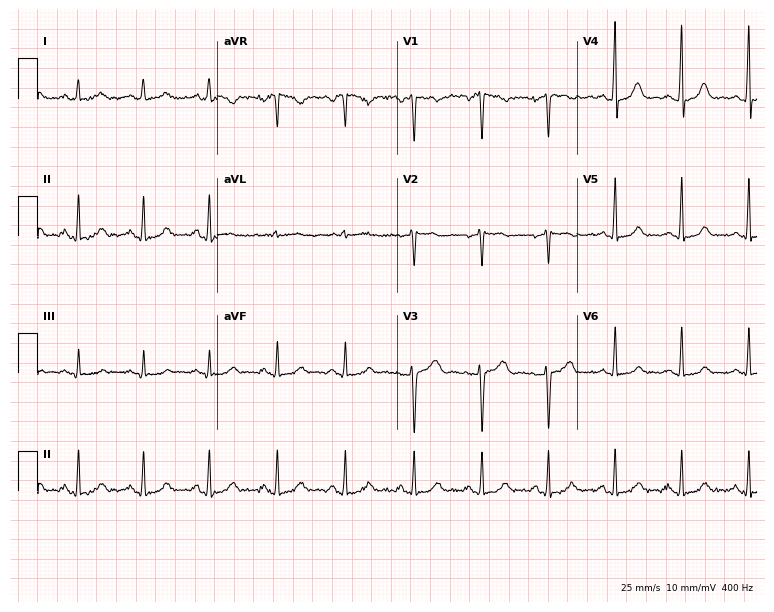
12-lead ECG from a 41-year-old female patient. No first-degree AV block, right bundle branch block, left bundle branch block, sinus bradycardia, atrial fibrillation or sinus tachycardia recorded for this tracing.